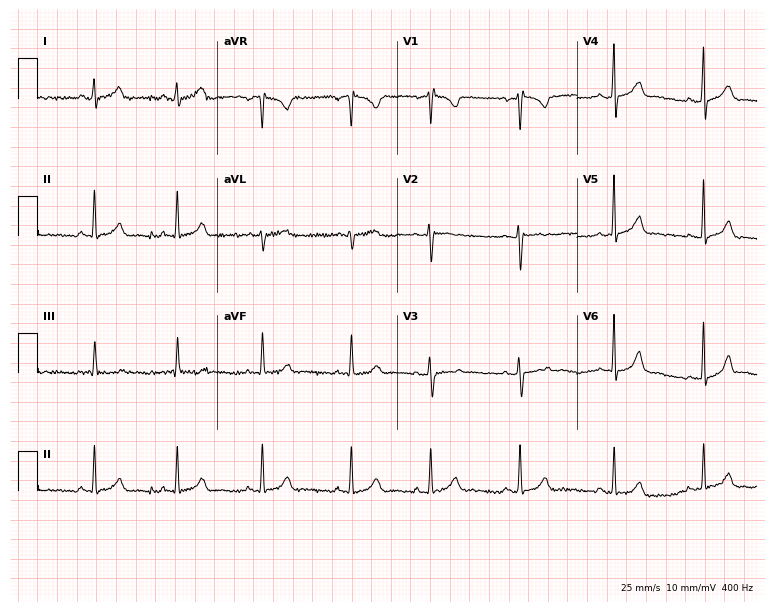
12-lead ECG from a 21-year-old female patient. Labelled as a normal ECG.